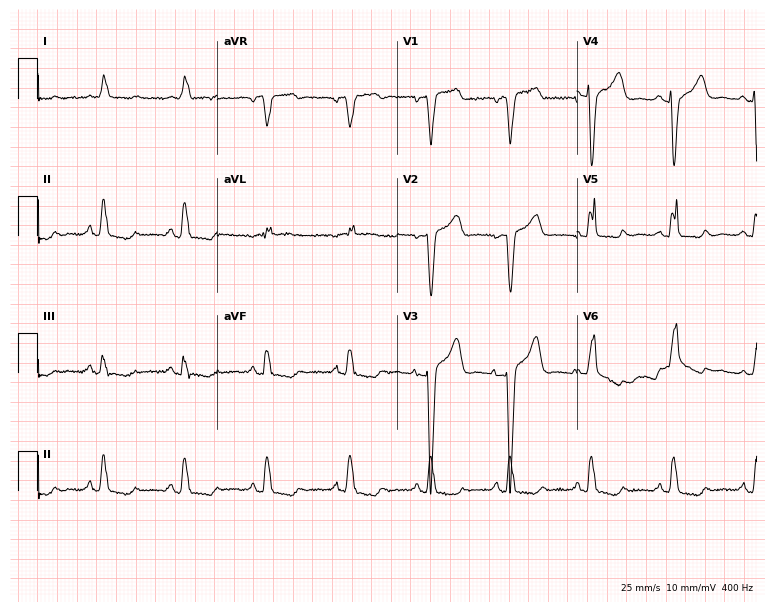
Resting 12-lead electrocardiogram (7.3-second recording at 400 Hz). Patient: a woman, 73 years old. None of these six findings is recorded: first-degree AV block, right bundle branch block, left bundle branch block, sinus bradycardia, atrial fibrillation, sinus tachycardia. Only these six findings were labelled.